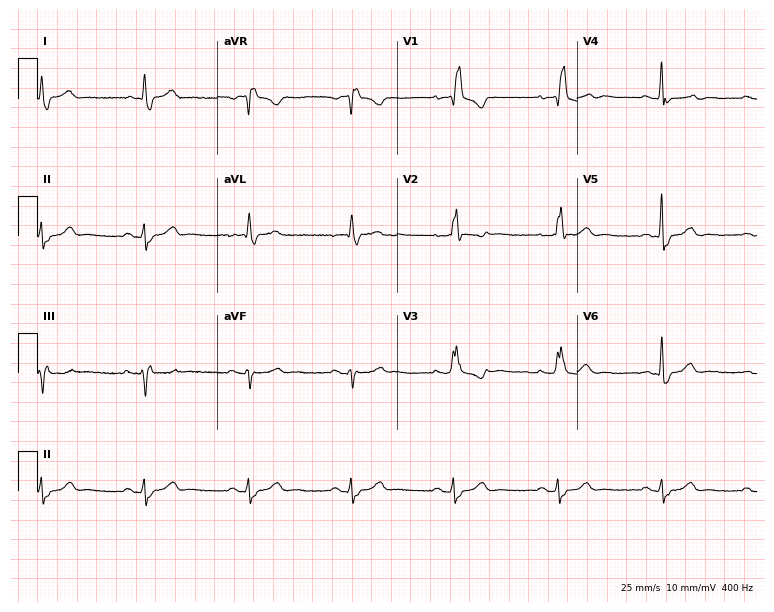
12-lead ECG from a male patient, 72 years old. Shows right bundle branch block.